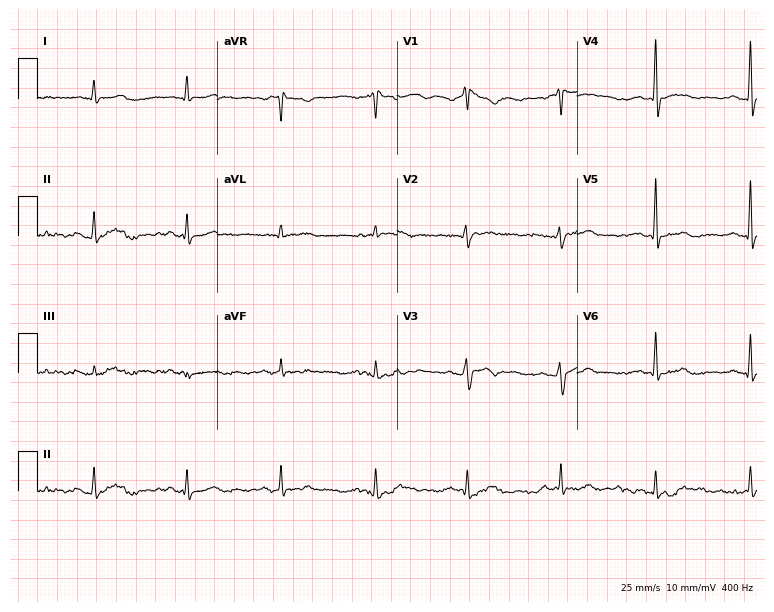
Electrocardiogram, a 36-year-old woman. Overall reading on record: normal ECG.